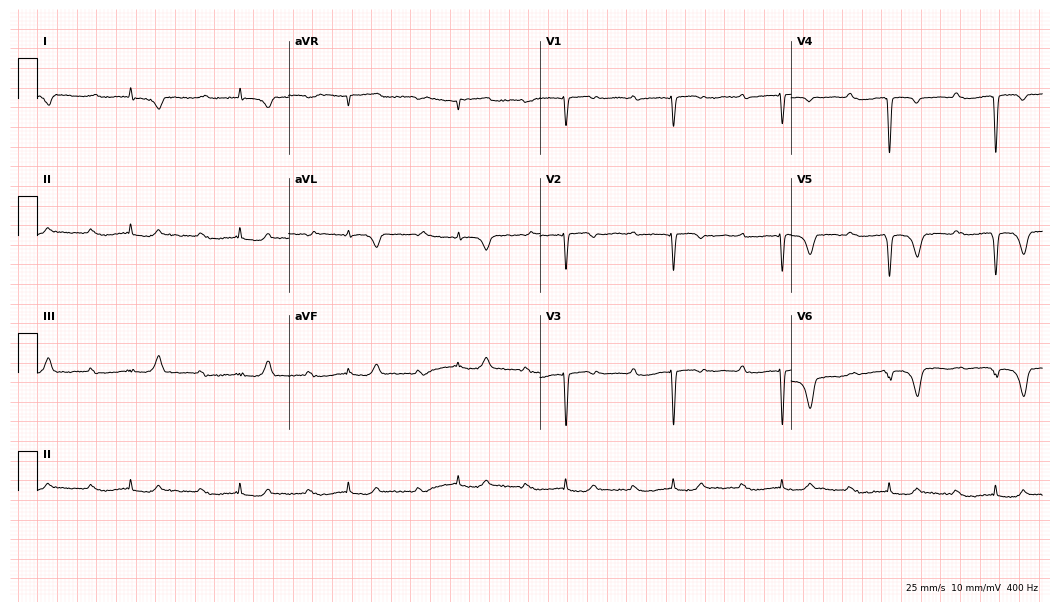
Standard 12-lead ECG recorded from a male, 81 years old (10.2-second recording at 400 Hz). The tracing shows first-degree AV block.